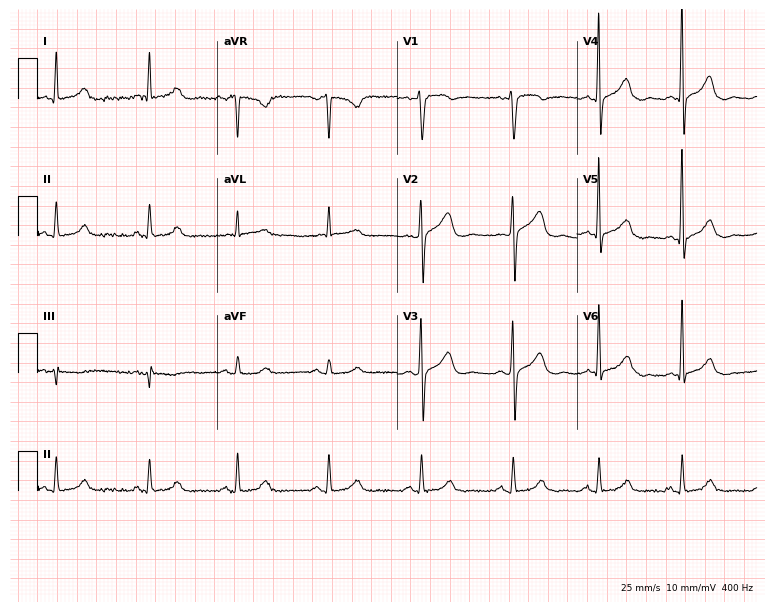
ECG — a 55-year-old woman. Screened for six findings — first-degree AV block, right bundle branch block, left bundle branch block, sinus bradycardia, atrial fibrillation, sinus tachycardia — none is recorded. Findings outside these six are not listed.